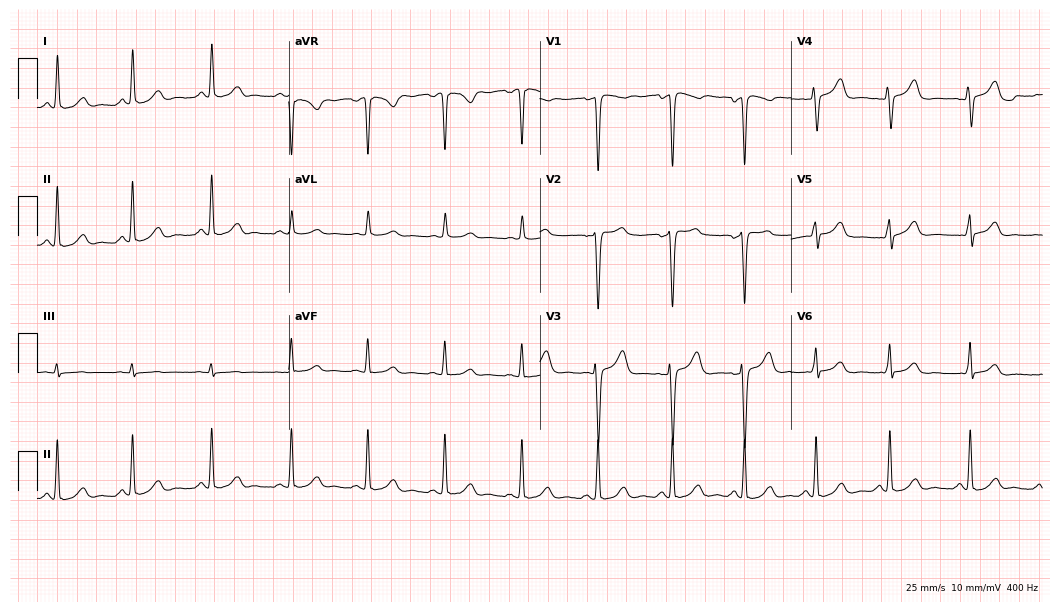
Electrocardiogram (10.2-second recording at 400 Hz), a man, 58 years old. Of the six screened findings (first-degree AV block, right bundle branch block, left bundle branch block, sinus bradycardia, atrial fibrillation, sinus tachycardia), none is recorded. Only these six findings were labelled.